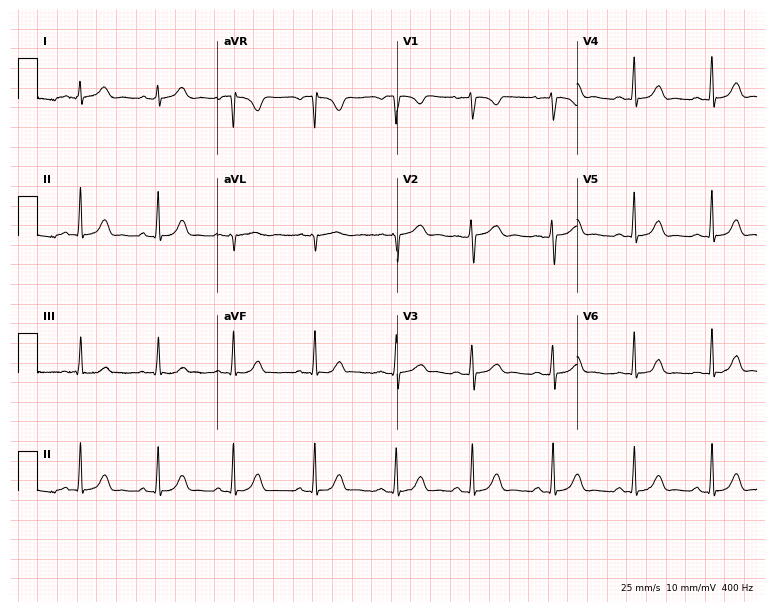
Standard 12-lead ECG recorded from a woman, 22 years old. None of these six findings is recorded: first-degree AV block, right bundle branch block, left bundle branch block, sinus bradycardia, atrial fibrillation, sinus tachycardia. Findings outside these six are not listed.